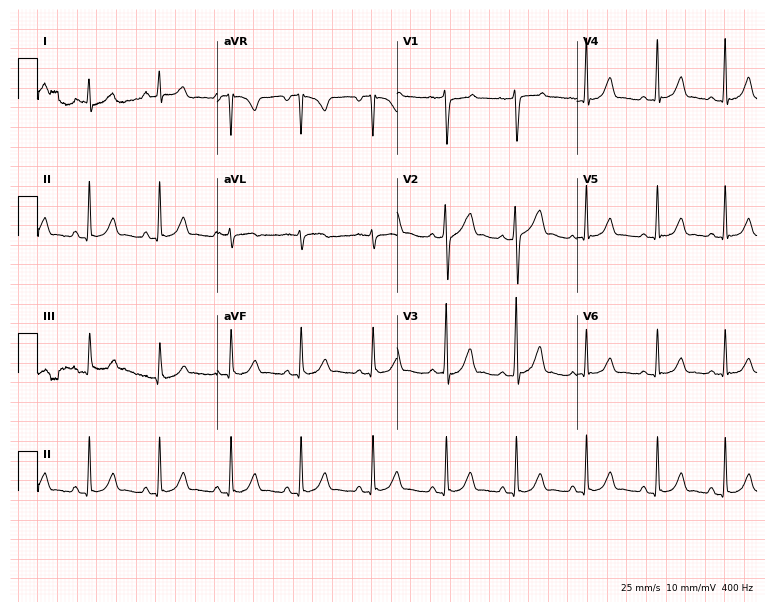
12-lead ECG from a 17-year-old female (7.3-second recording at 400 Hz). Recorded interpretation: within normal limits.